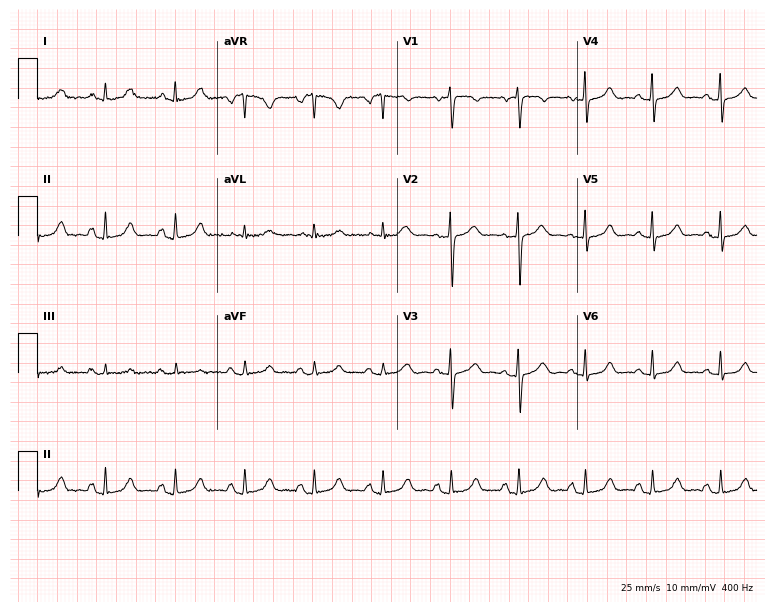
Electrocardiogram, a female patient, 58 years old. Overall reading on record: normal ECG.